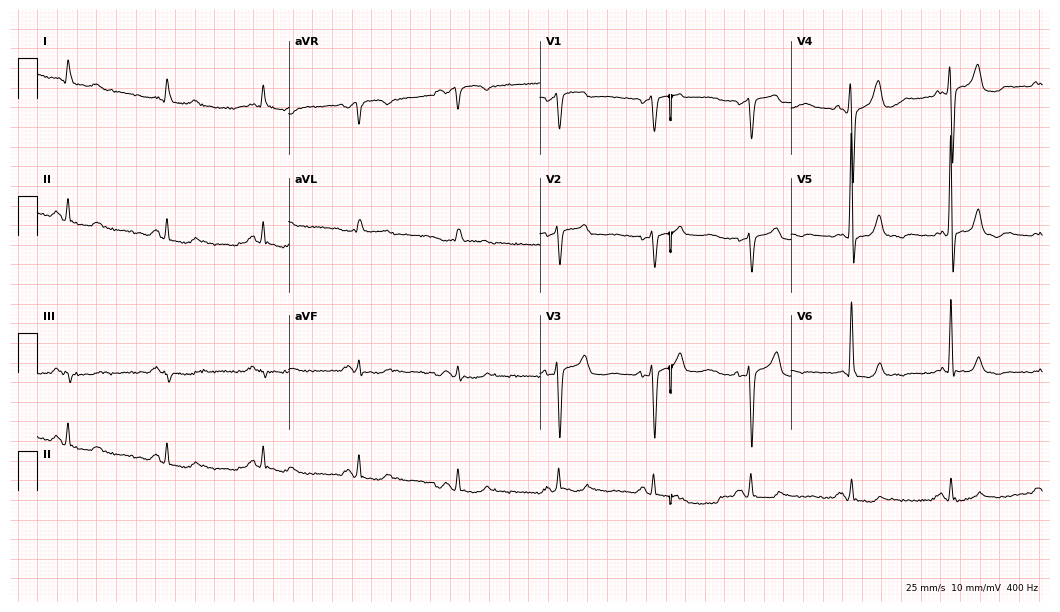
Resting 12-lead electrocardiogram. Patient: a man, 65 years old. None of these six findings is recorded: first-degree AV block, right bundle branch block (RBBB), left bundle branch block (LBBB), sinus bradycardia, atrial fibrillation (AF), sinus tachycardia. Other findings, if any, are not listed.